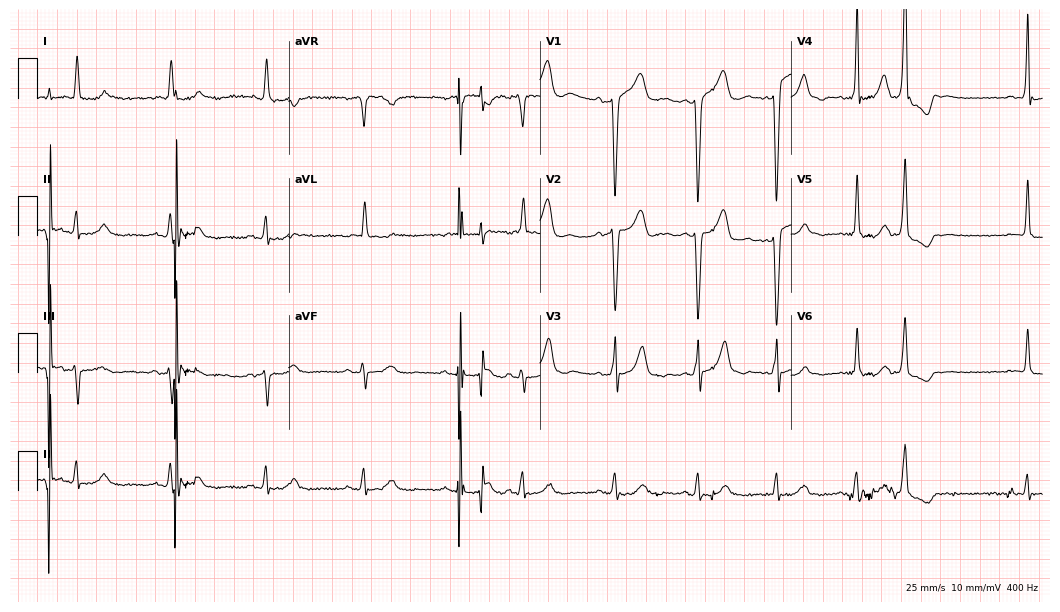
ECG — a woman, 79 years old. Labelled as a normal ECG.